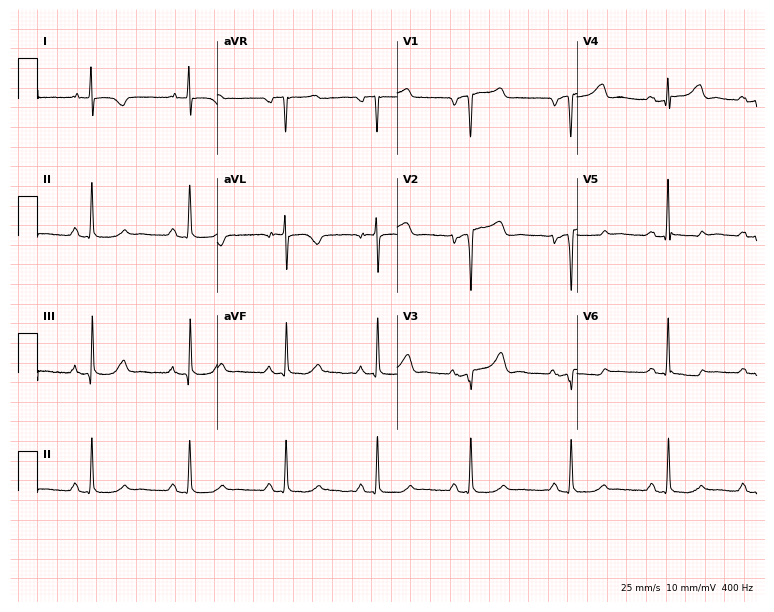
Electrocardiogram, a 72-year-old woman. Of the six screened findings (first-degree AV block, right bundle branch block (RBBB), left bundle branch block (LBBB), sinus bradycardia, atrial fibrillation (AF), sinus tachycardia), none is recorded. Other findings, if any, are not listed.